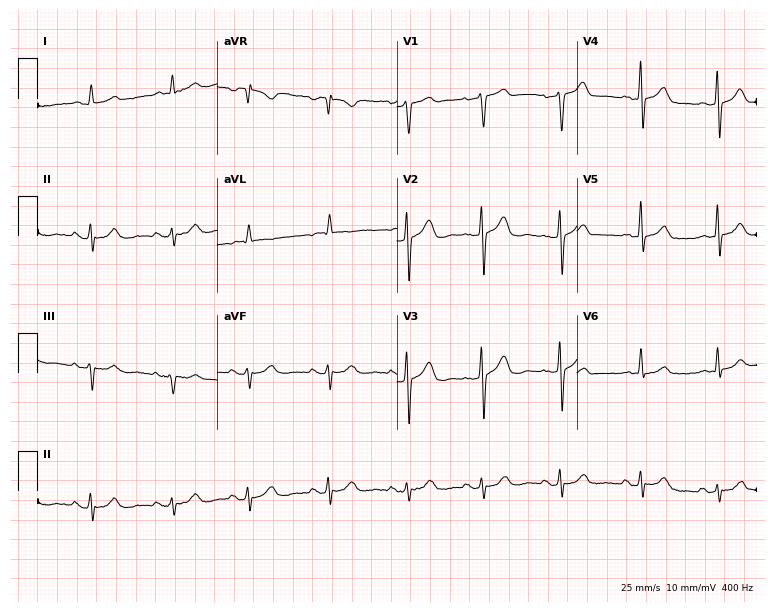
12-lead ECG from a male patient, 72 years old. No first-degree AV block, right bundle branch block, left bundle branch block, sinus bradycardia, atrial fibrillation or sinus tachycardia recorded for this tracing.